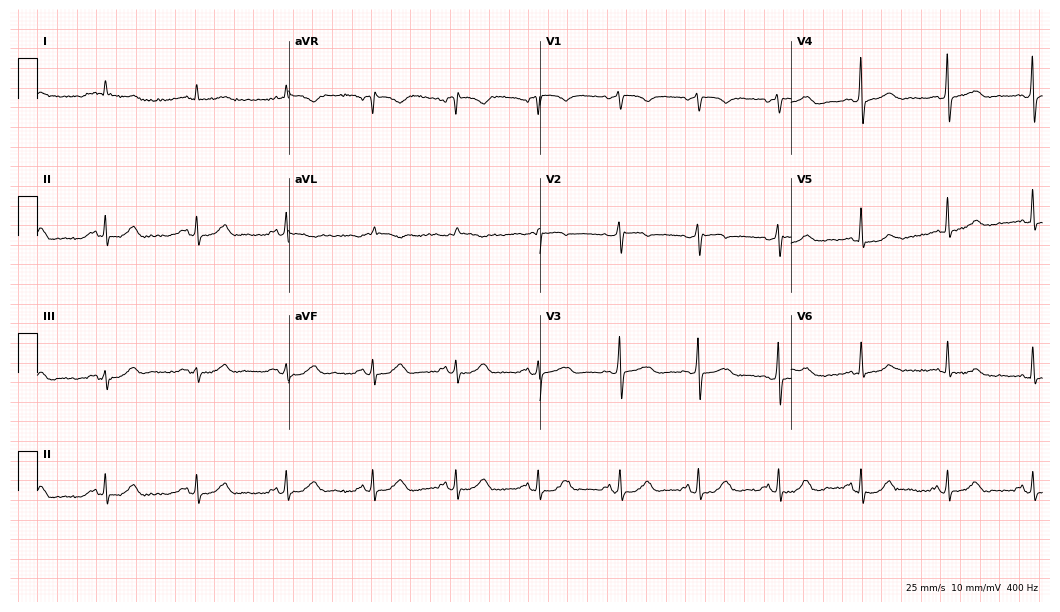
ECG (10.2-second recording at 400 Hz) — a 68-year-old male patient. Screened for six findings — first-degree AV block, right bundle branch block, left bundle branch block, sinus bradycardia, atrial fibrillation, sinus tachycardia — none is recorded. Findings outside these six are not listed.